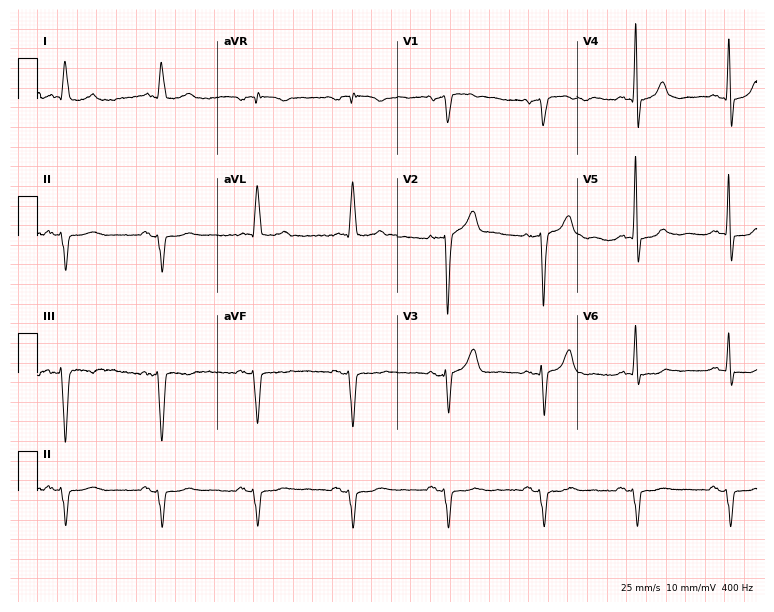
12-lead ECG from a male patient, 81 years old (7.3-second recording at 400 Hz). No first-degree AV block, right bundle branch block, left bundle branch block, sinus bradycardia, atrial fibrillation or sinus tachycardia recorded for this tracing.